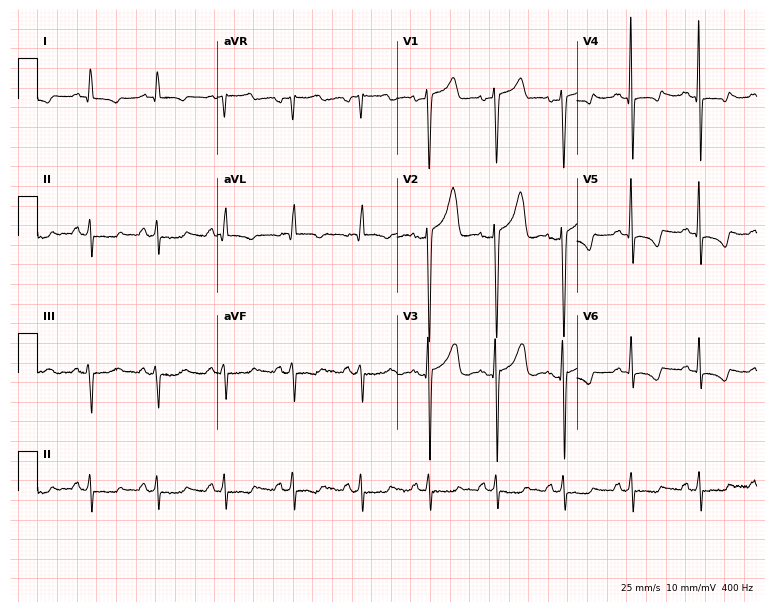
12-lead ECG from a male patient, 46 years old (7.3-second recording at 400 Hz). No first-degree AV block, right bundle branch block, left bundle branch block, sinus bradycardia, atrial fibrillation or sinus tachycardia recorded for this tracing.